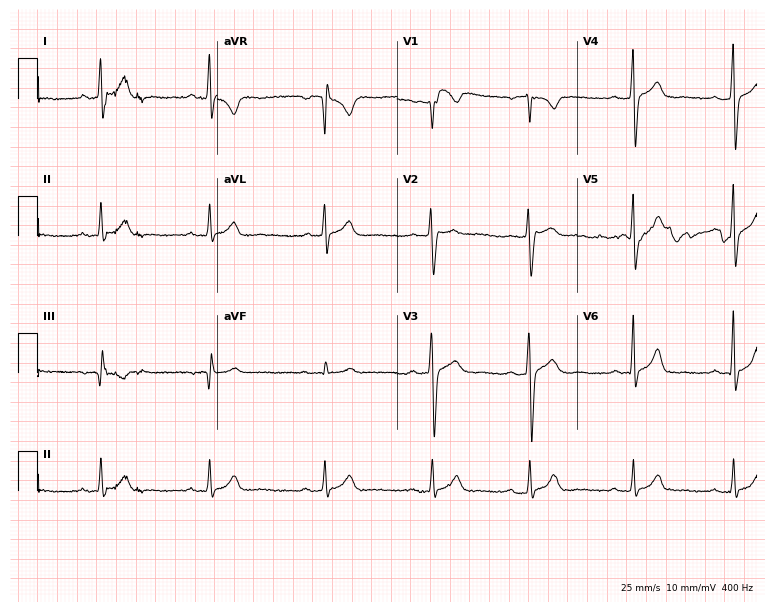
ECG (7.3-second recording at 400 Hz) — a 39-year-old male patient. Labelled as a normal ECG.